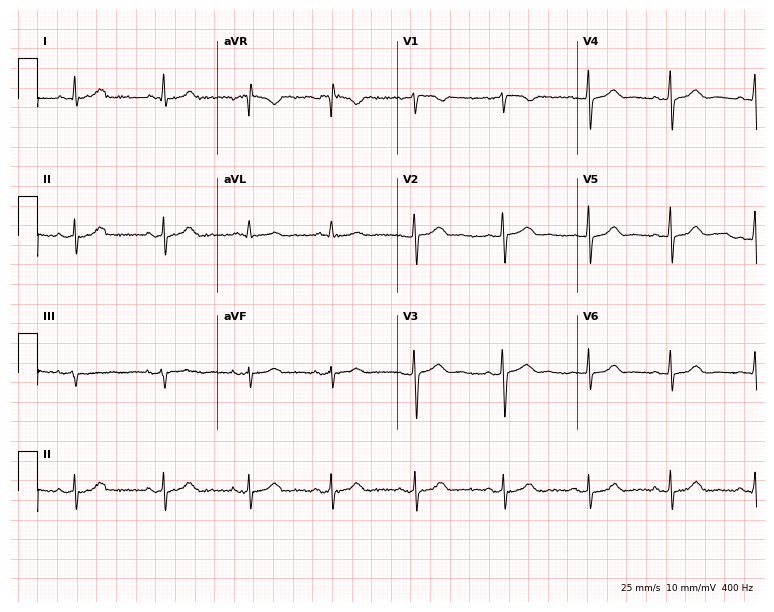
12-lead ECG from a 49-year-old female patient. No first-degree AV block, right bundle branch block (RBBB), left bundle branch block (LBBB), sinus bradycardia, atrial fibrillation (AF) or sinus tachycardia recorded for this tracing.